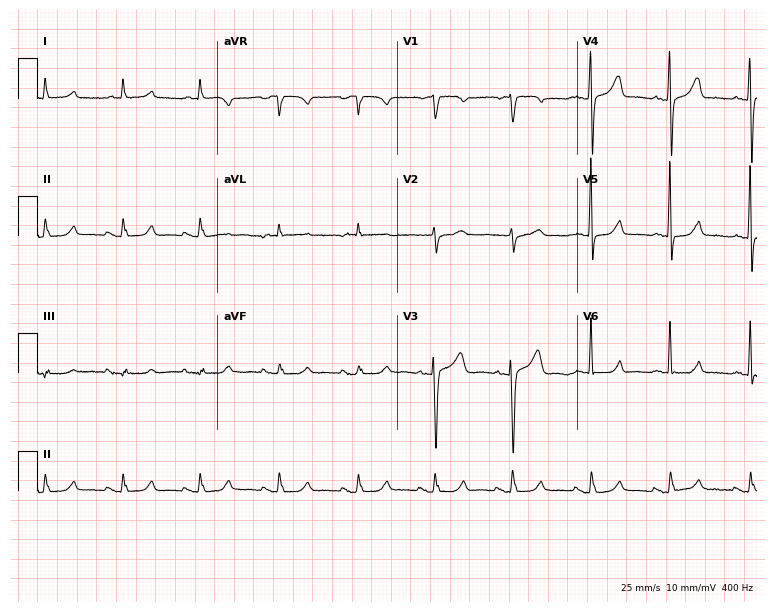
Standard 12-lead ECG recorded from a female, 66 years old (7.3-second recording at 400 Hz). Read as a normal ECG.